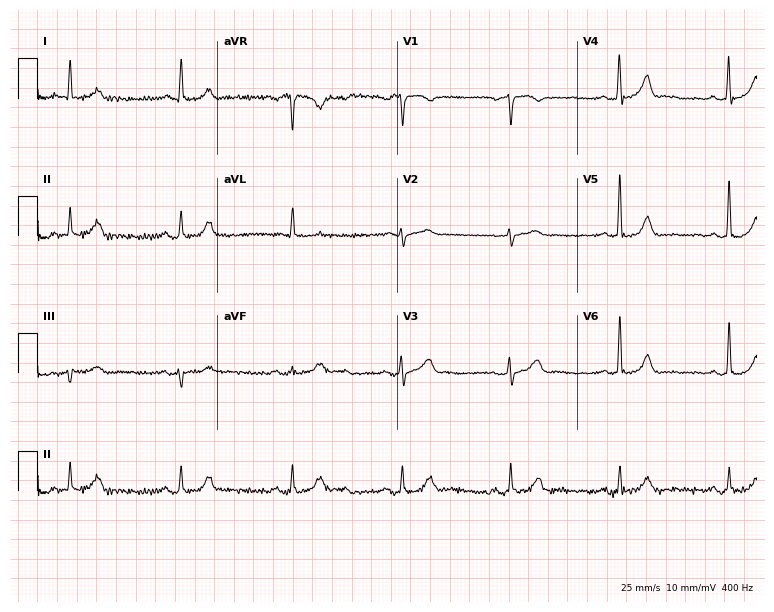
Standard 12-lead ECG recorded from a male patient, 74 years old. Read as a normal ECG.